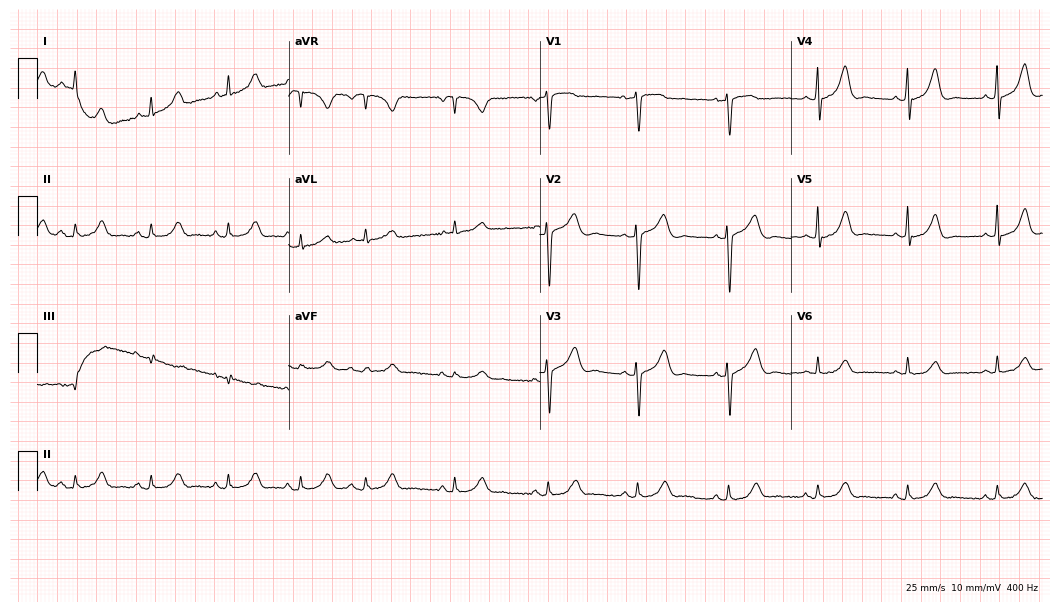
Standard 12-lead ECG recorded from a 75-year-old woman (10.2-second recording at 400 Hz). Read as a normal ECG.